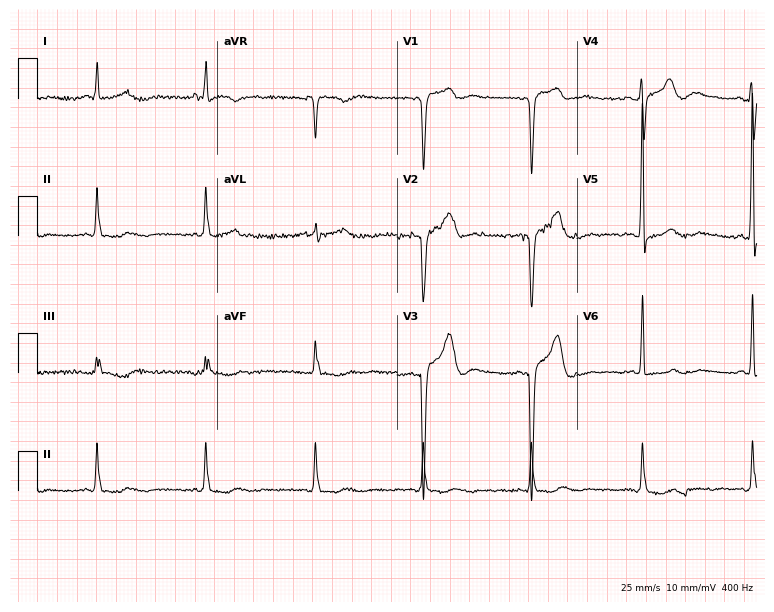
ECG — a male patient, 66 years old. Screened for six findings — first-degree AV block, right bundle branch block, left bundle branch block, sinus bradycardia, atrial fibrillation, sinus tachycardia — none is recorded. Findings outside these six are not listed.